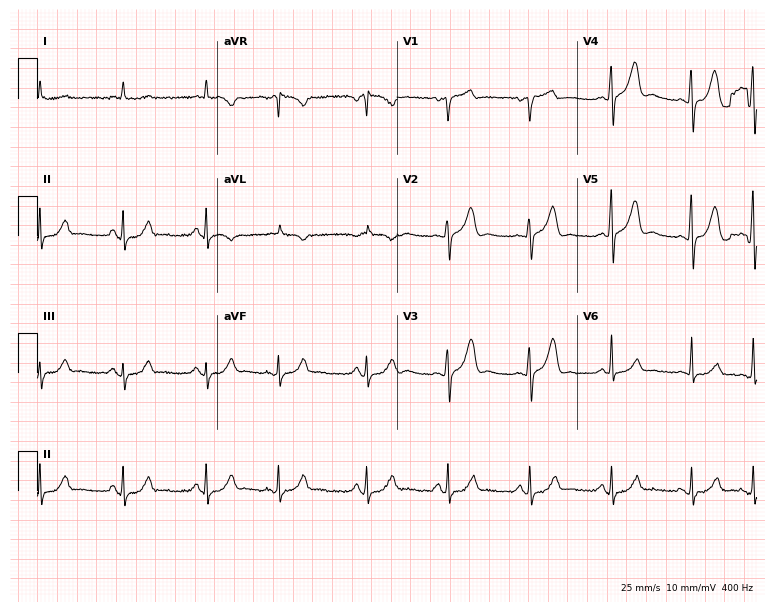
Resting 12-lead electrocardiogram. Patient: a 70-year-old man. None of these six findings is recorded: first-degree AV block, right bundle branch block, left bundle branch block, sinus bradycardia, atrial fibrillation, sinus tachycardia. Findings outside these six are not listed.